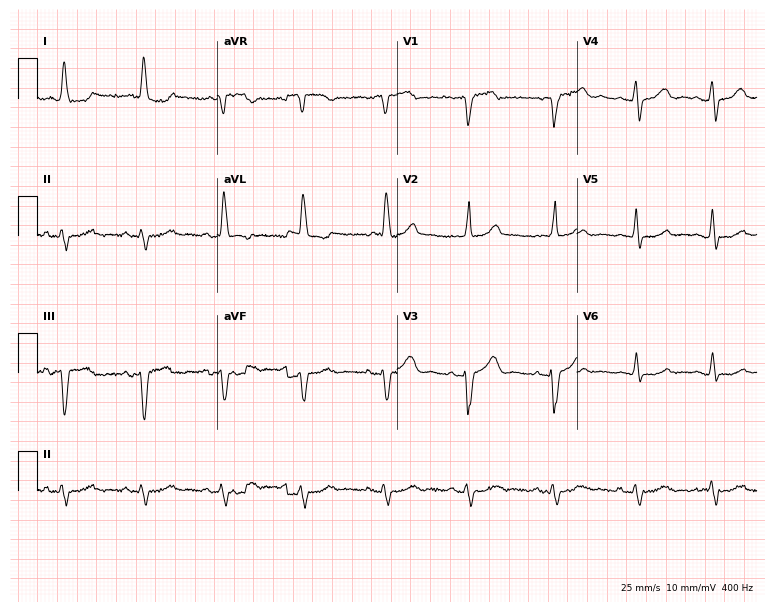
12-lead ECG from an 83-year-old female (7.3-second recording at 400 Hz). Recorded interpretation: within normal limits.